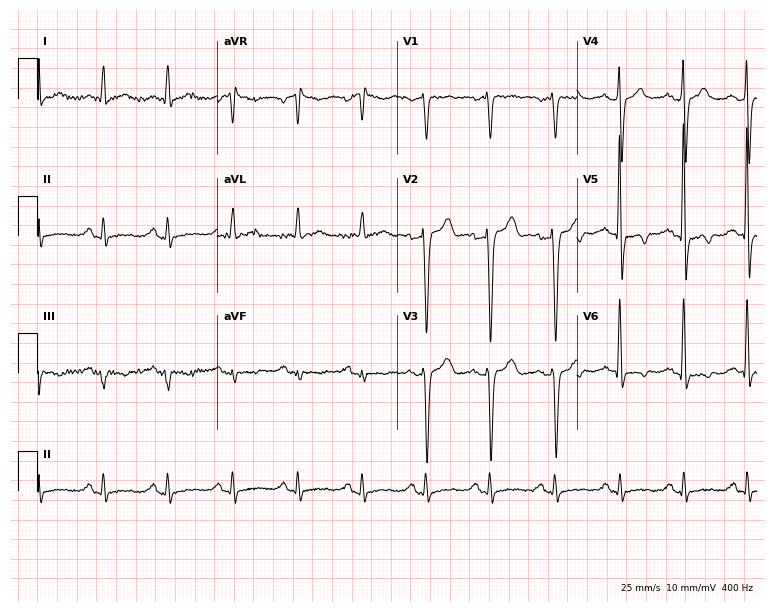
12-lead ECG from a man, 49 years old. Screened for six findings — first-degree AV block, right bundle branch block, left bundle branch block, sinus bradycardia, atrial fibrillation, sinus tachycardia — none is recorded.